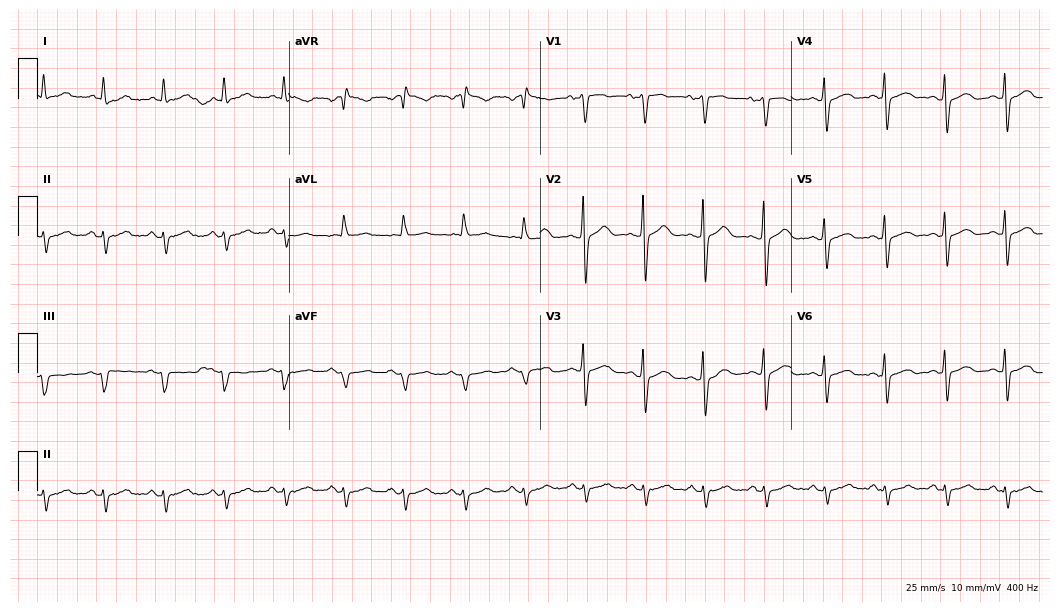
12-lead ECG from a male, 76 years old. Screened for six findings — first-degree AV block, right bundle branch block, left bundle branch block, sinus bradycardia, atrial fibrillation, sinus tachycardia — none is recorded. Other findings, if any, are not listed.